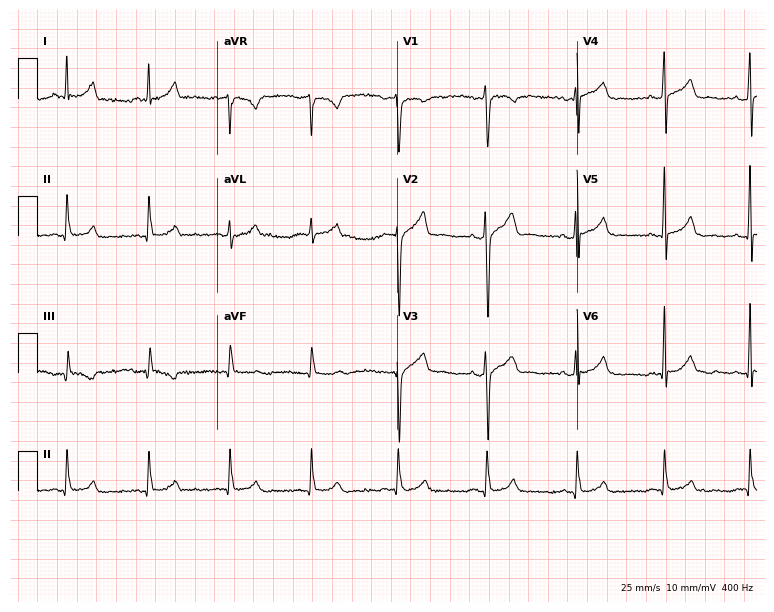
Standard 12-lead ECG recorded from a 29-year-old man (7.3-second recording at 400 Hz). None of these six findings is recorded: first-degree AV block, right bundle branch block, left bundle branch block, sinus bradycardia, atrial fibrillation, sinus tachycardia.